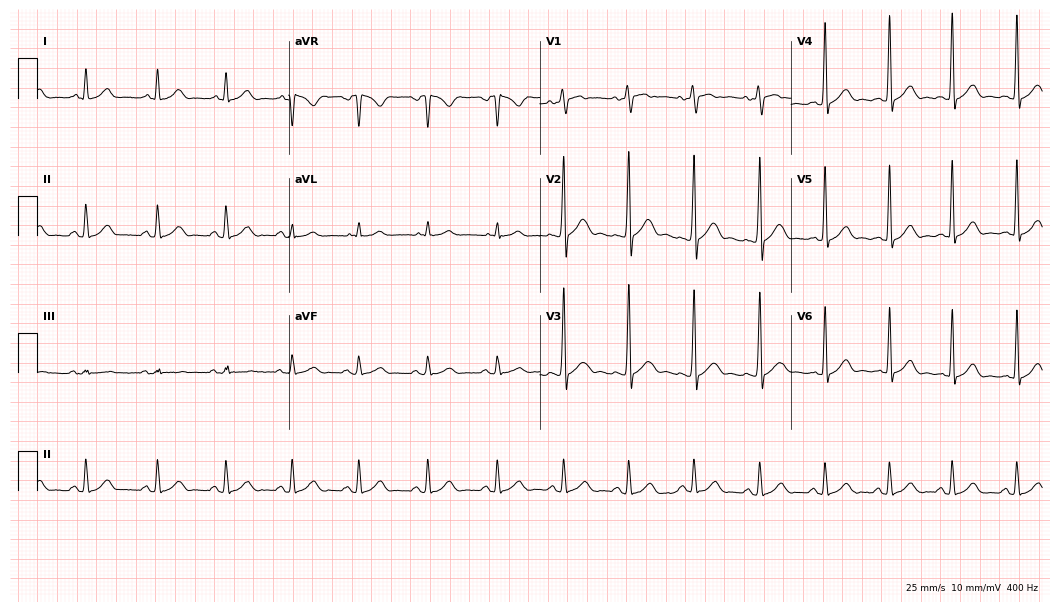
Electrocardiogram, a male patient, 30 years old. Overall reading on record: normal ECG.